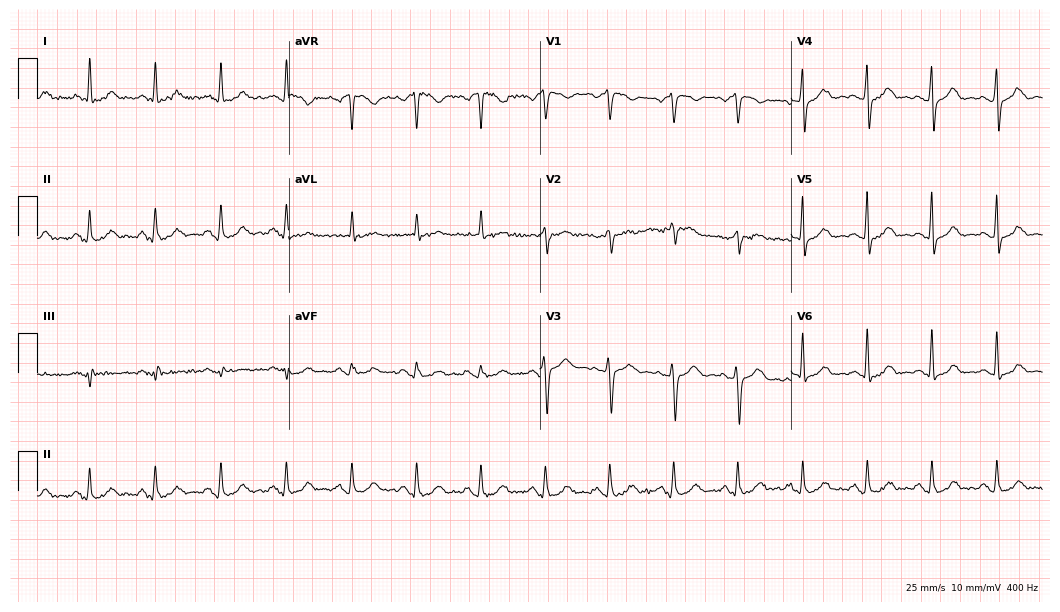
ECG — a 58-year-old female. Screened for six findings — first-degree AV block, right bundle branch block, left bundle branch block, sinus bradycardia, atrial fibrillation, sinus tachycardia — none is recorded.